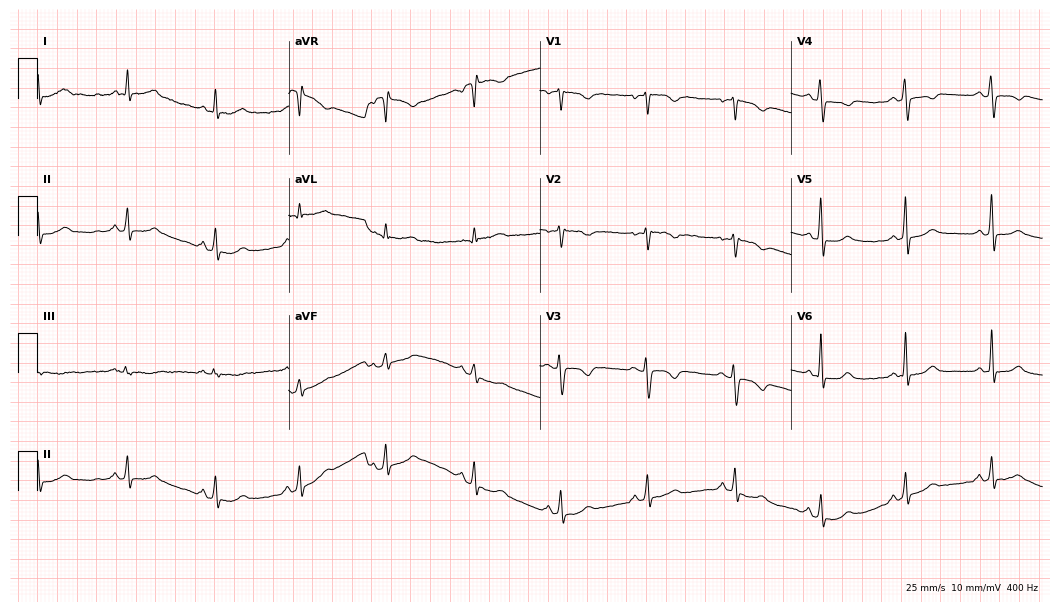
ECG (10.2-second recording at 400 Hz) — a 47-year-old female. Screened for six findings — first-degree AV block, right bundle branch block, left bundle branch block, sinus bradycardia, atrial fibrillation, sinus tachycardia — none is recorded. Other findings, if any, are not listed.